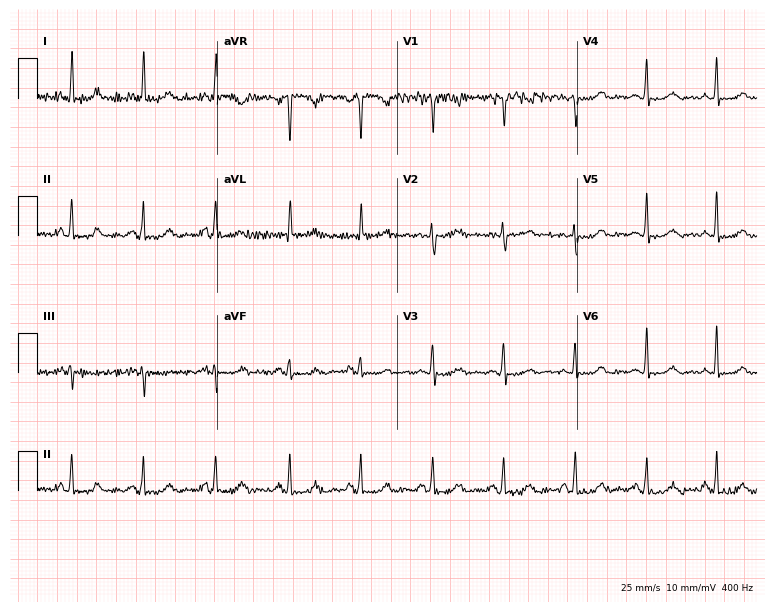
12-lead ECG from a woman, 64 years old. Recorded interpretation: within normal limits.